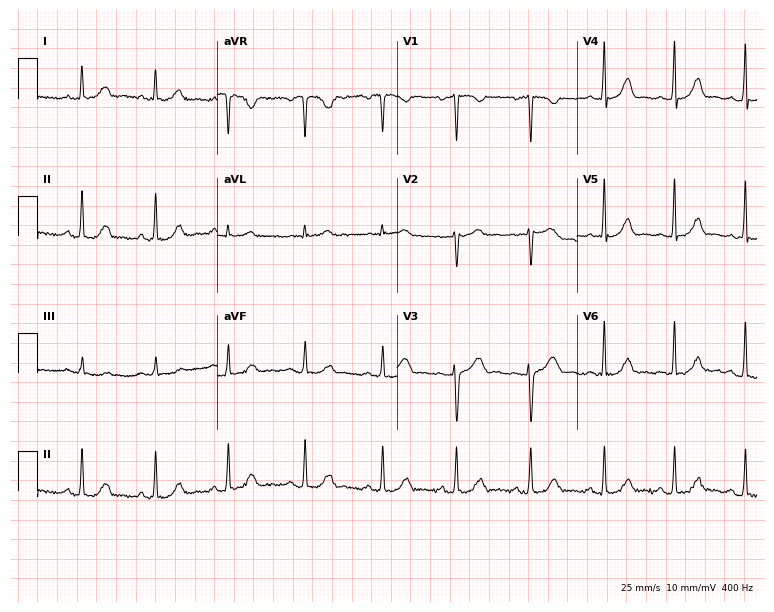
Resting 12-lead electrocardiogram (7.3-second recording at 400 Hz). Patient: a 35-year-old woman. Read as a normal ECG.